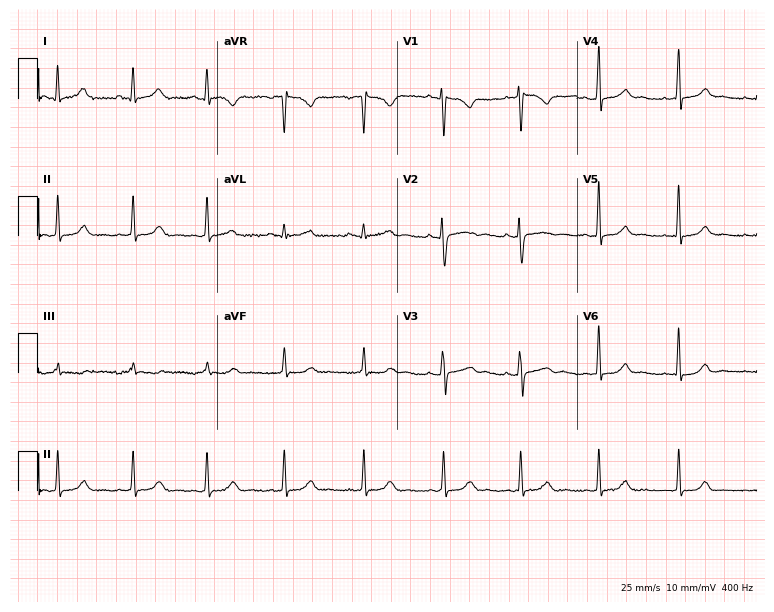
12-lead ECG from a female, 39 years old. Labelled as a normal ECG.